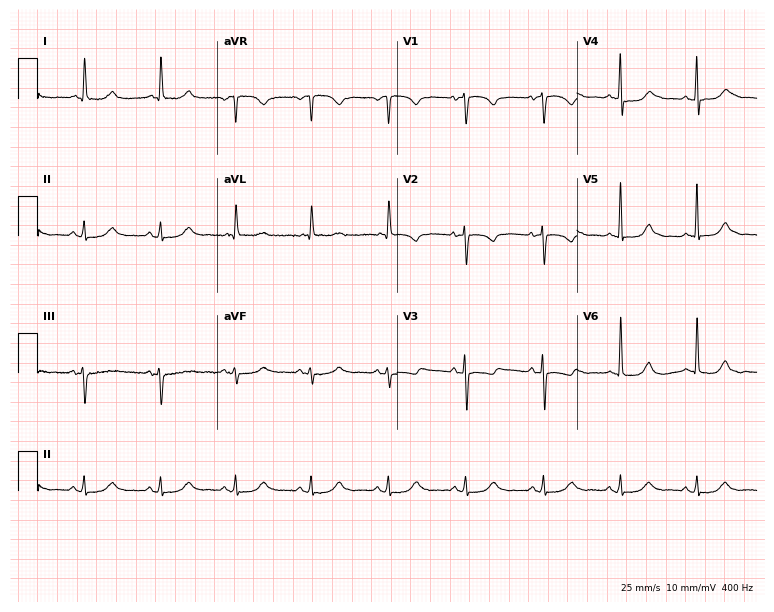
12-lead ECG from an 80-year-old female patient (7.3-second recording at 400 Hz). No first-degree AV block, right bundle branch block (RBBB), left bundle branch block (LBBB), sinus bradycardia, atrial fibrillation (AF) or sinus tachycardia recorded for this tracing. Other findings, if any, are not listed.